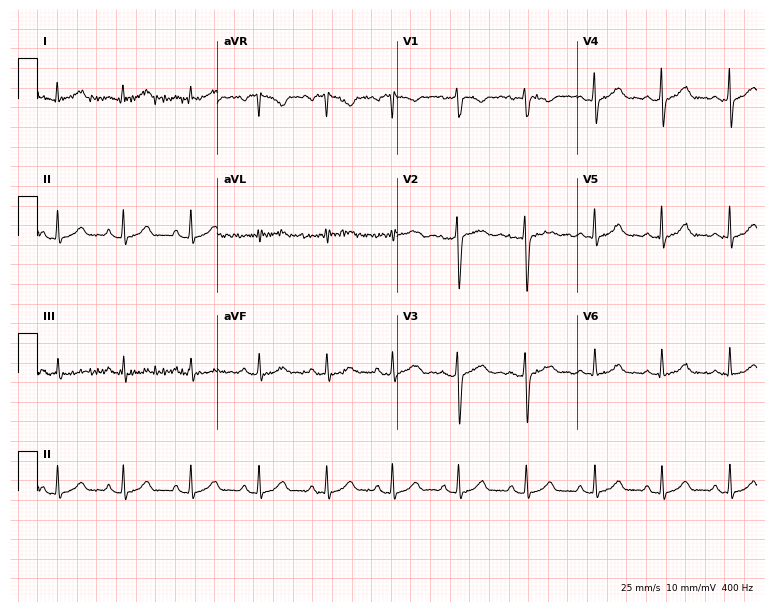
12-lead ECG from a female, 36 years old (7.3-second recording at 400 Hz). Recorded interpretation: within normal limits.